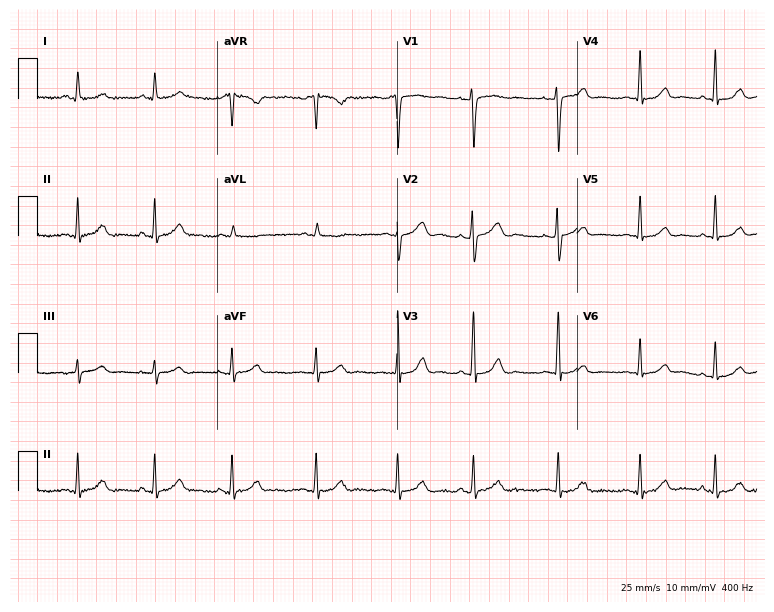
Resting 12-lead electrocardiogram. Patient: a female, 42 years old. None of these six findings is recorded: first-degree AV block, right bundle branch block, left bundle branch block, sinus bradycardia, atrial fibrillation, sinus tachycardia.